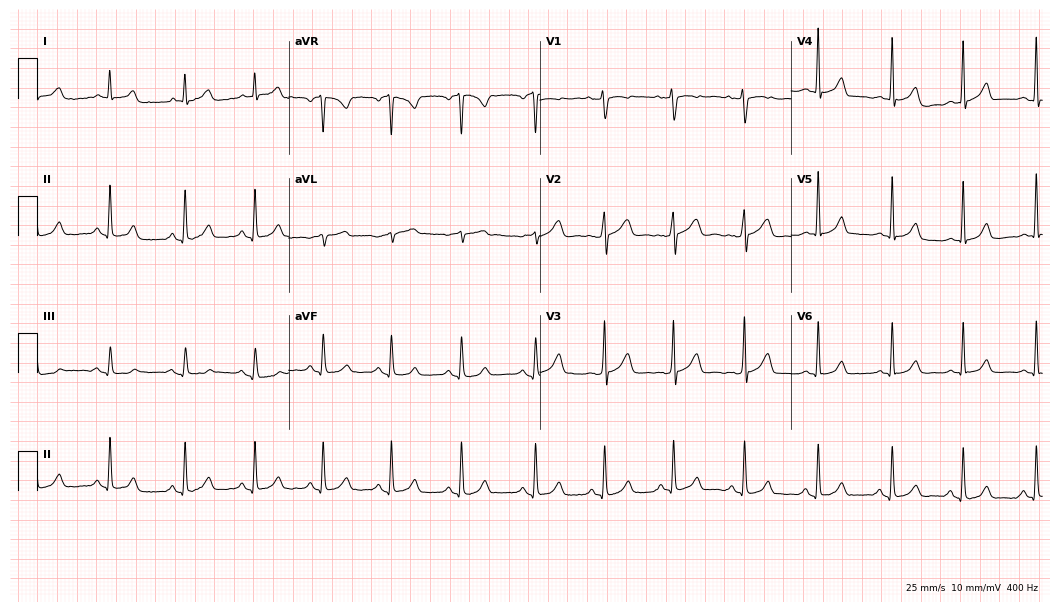
Resting 12-lead electrocardiogram. Patient: a female, 47 years old. Read as a normal ECG.